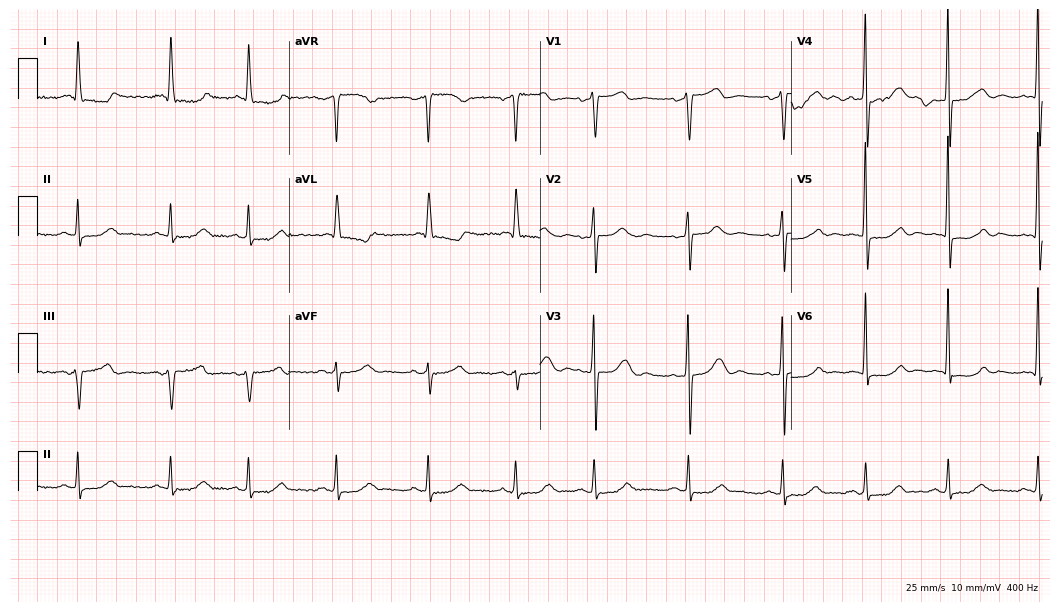
12-lead ECG from a woman, 55 years old. No first-degree AV block, right bundle branch block (RBBB), left bundle branch block (LBBB), sinus bradycardia, atrial fibrillation (AF) or sinus tachycardia recorded for this tracing. Only these six findings were labelled.